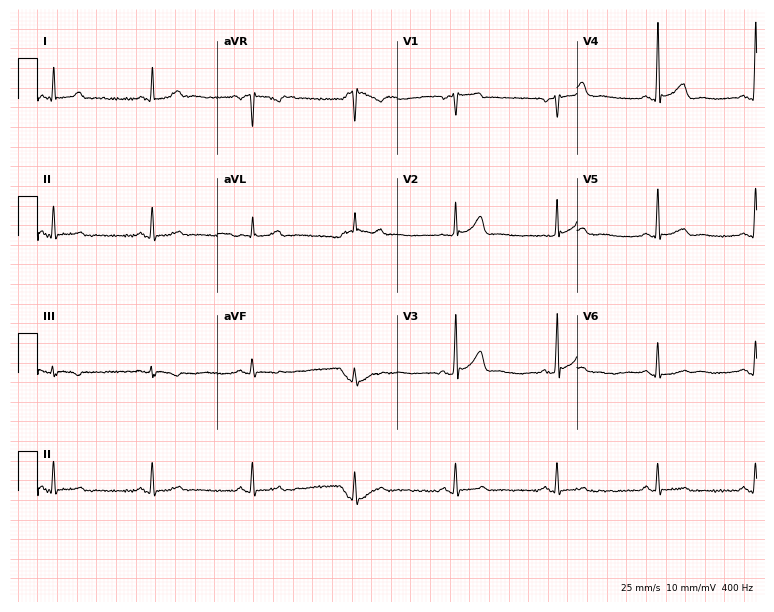
12-lead ECG (7.3-second recording at 400 Hz) from a 60-year-old man. Labelled as a normal ECG.